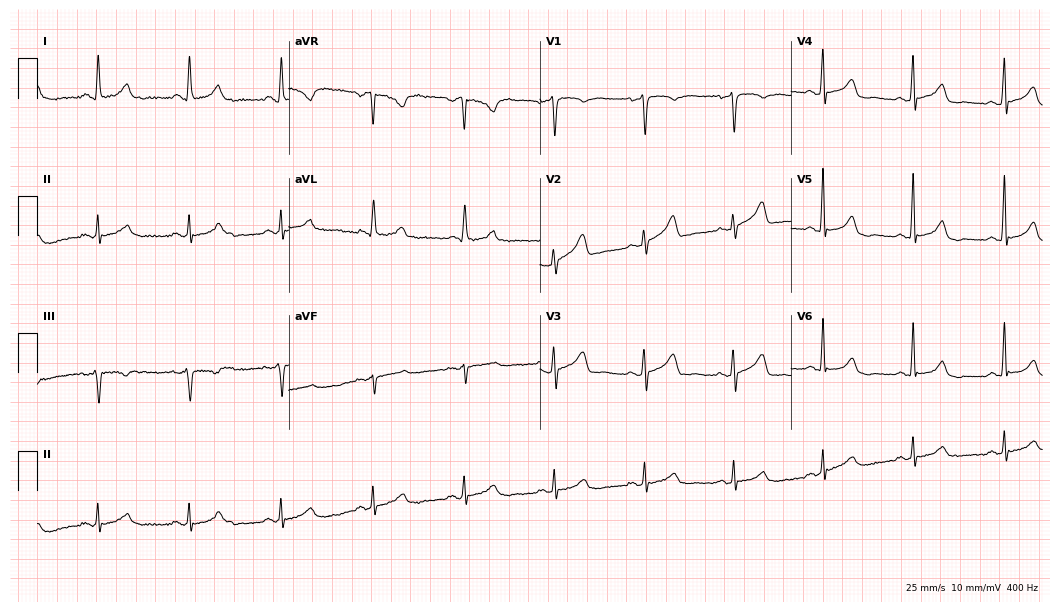
12-lead ECG from a 65-year-old woman. Labelled as a normal ECG.